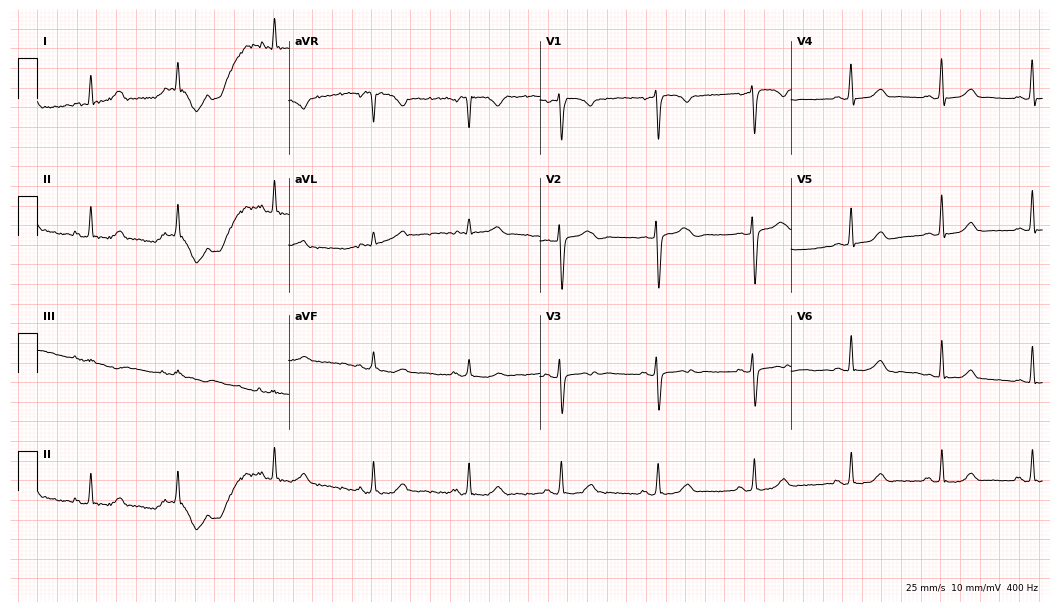
12-lead ECG from a 49-year-old woman. Labelled as a normal ECG.